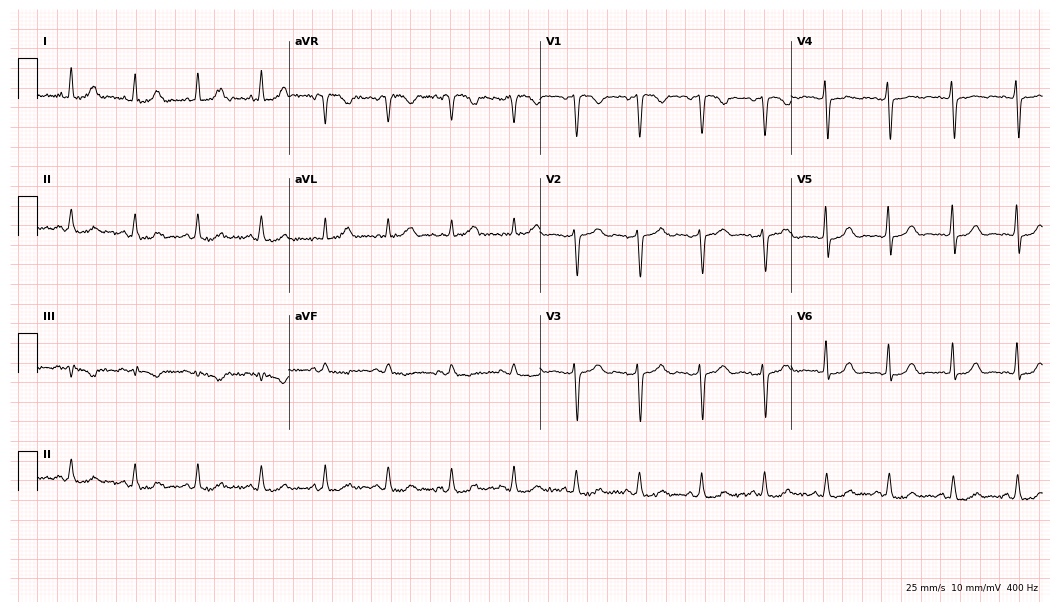
Electrocardiogram (10.2-second recording at 400 Hz), a 42-year-old woman. Overall reading on record: normal ECG.